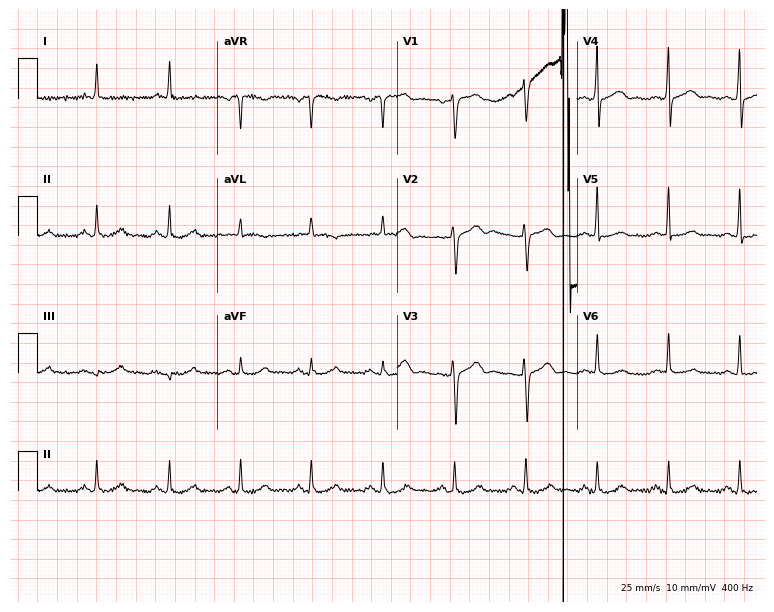
Electrocardiogram, a 67-year-old female. Of the six screened findings (first-degree AV block, right bundle branch block, left bundle branch block, sinus bradycardia, atrial fibrillation, sinus tachycardia), none is recorded.